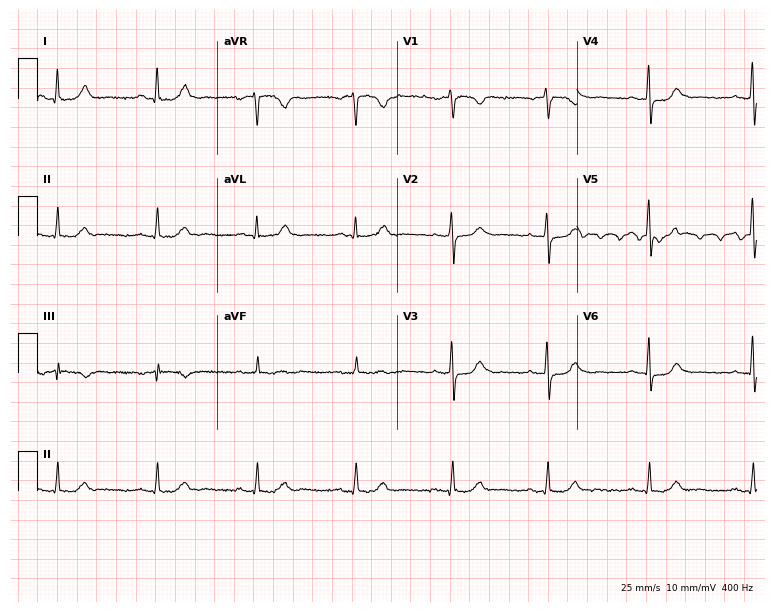
12-lead ECG from a woman, 38 years old. No first-degree AV block, right bundle branch block, left bundle branch block, sinus bradycardia, atrial fibrillation or sinus tachycardia recorded for this tracing.